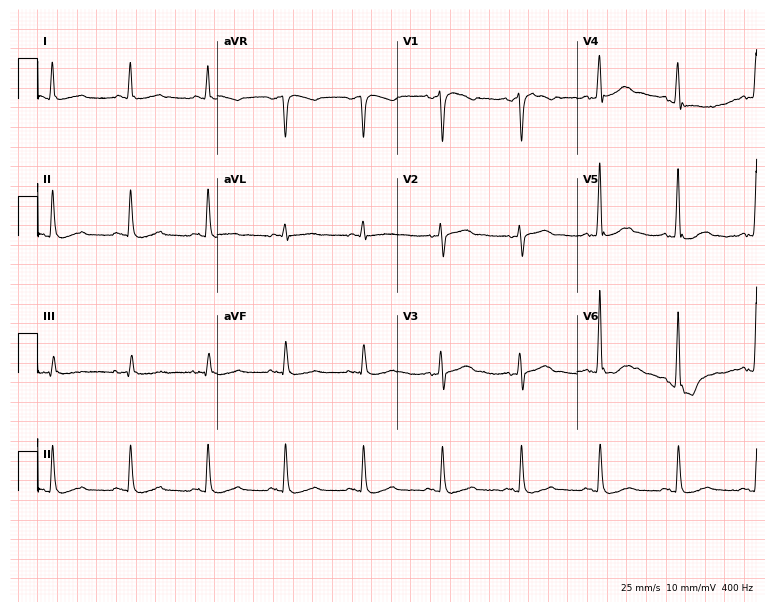
12-lead ECG (7.3-second recording at 400 Hz) from a man, 56 years old. Screened for six findings — first-degree AV block, right bundle branch block (RBBB), left bundle branch block (LBBB), sinus bradycardia, atrial fibrillation (AF), sinus tachycardia — none is recorded.